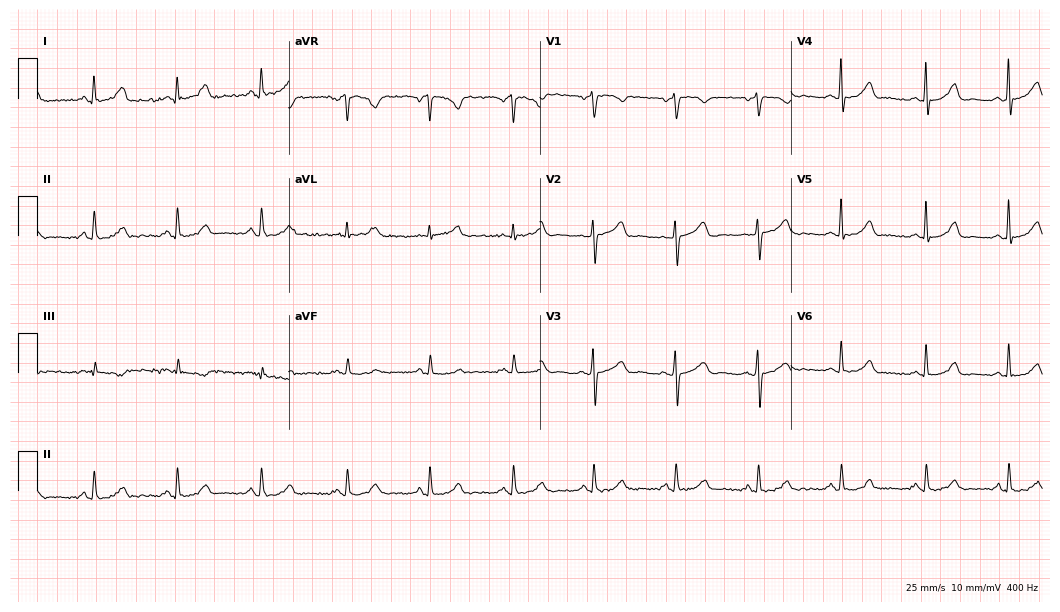
Standard 12-lead ECG recorded from a woman, 40 years old (10.2-second recording at 400 Hz). Read as a normal ECG.